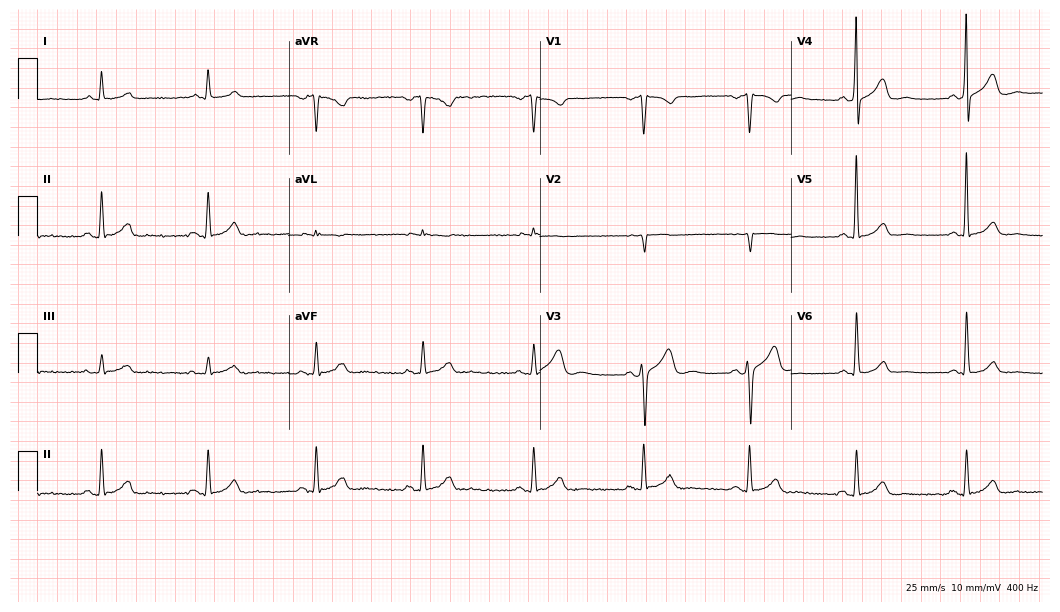
12-lead ECG from a man, 45 years old. Recorded interpretation: within normal limits.